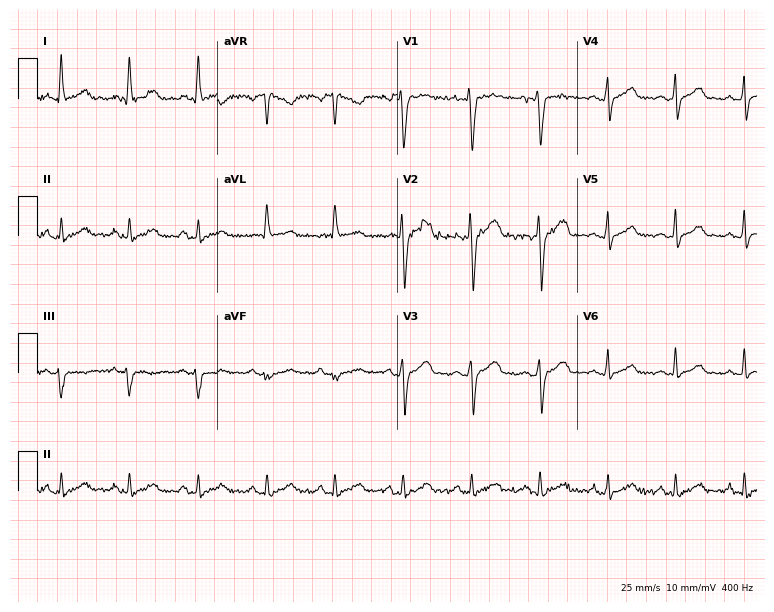
Resting 12-lead electrocardiogram (7.3-second recording at 400 Hz). Patient: a 21-year-old man. Read as a normal ECG.